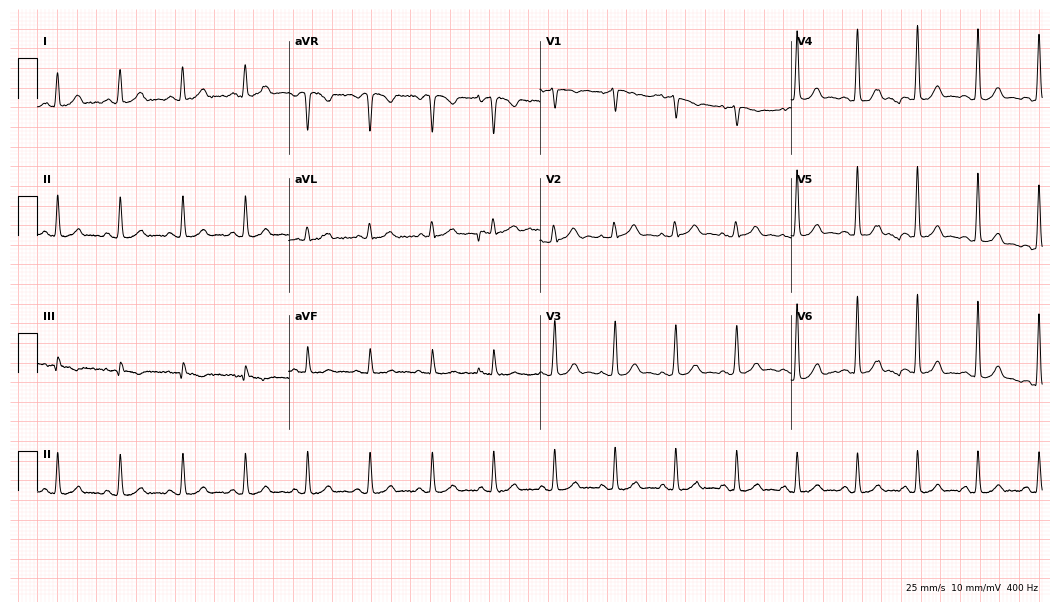
Standard 12-lead ECG recorded from a 45-year-old woman. Read as a normal ECG.